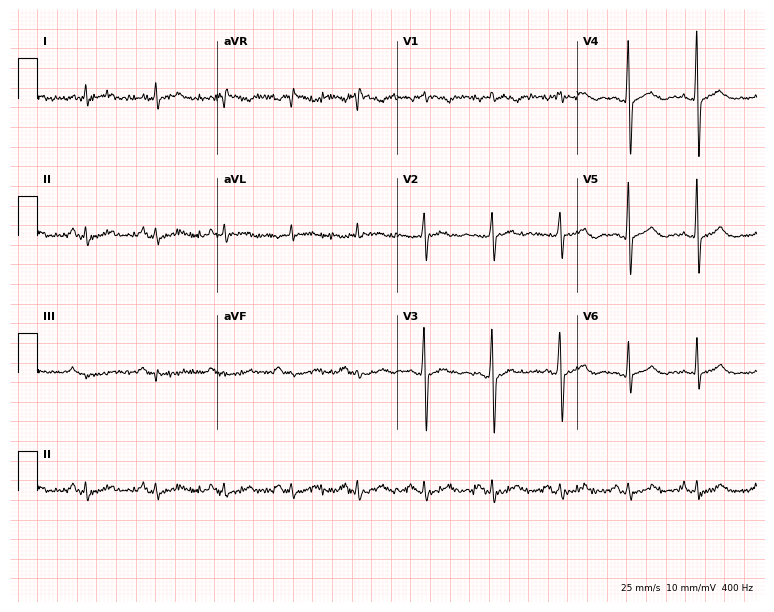
12-lead ECG from a 69-year-old male patient (7.3-second recording at 400 Hz). No first-degree AV block, right bundle branch block, left bundle branch block, sinus bradycardia, atrial fibrillation or sinus tachycardia recorded for this tracing. Other findings, if any, are not listed.